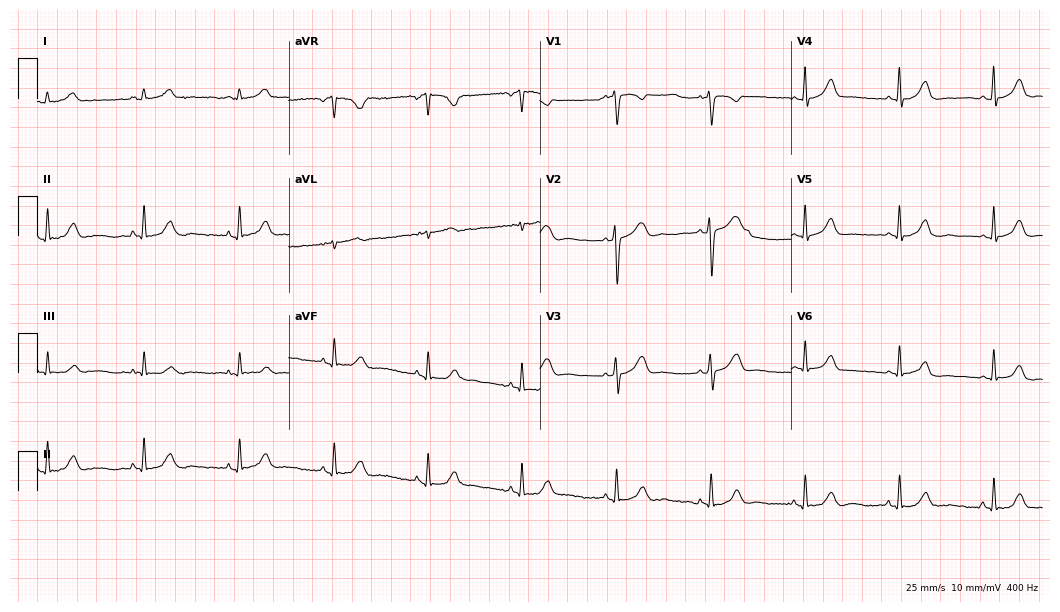
ECG (10.2-second recording at 400 Hz) — a female, 47 years old. Labelled as a normal ECG.